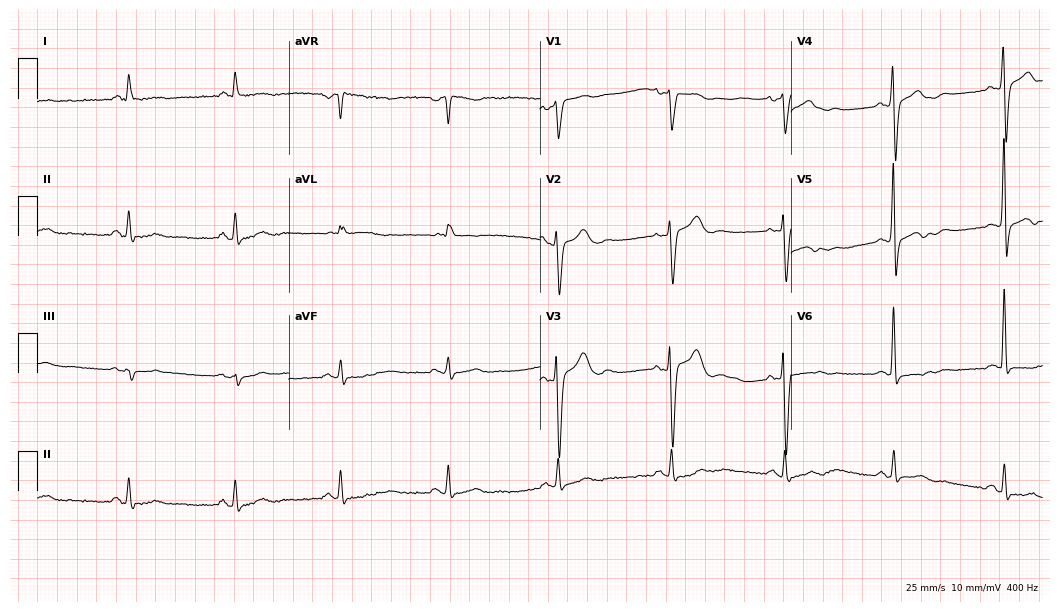
12-lead ECG from a 64-year-old man. Screened for six findings — first-degree AV block, right bundle branch block, left bundle branch block, sinus bradycardia, atrial fibrillation, sinus tachycardia — none is recorded. Other findings, if any, are not listed.